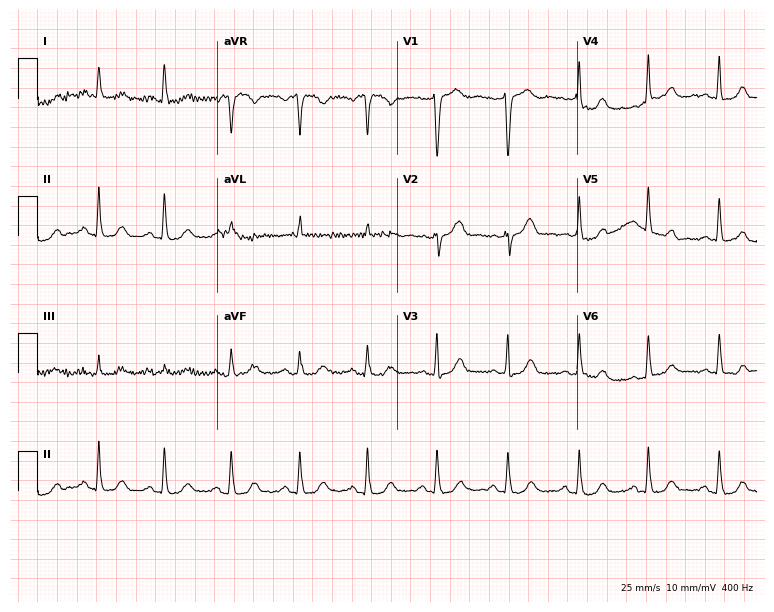
Standard 12-lead ECG recorded from a 62-year-old woman. Read as a normal ECG.